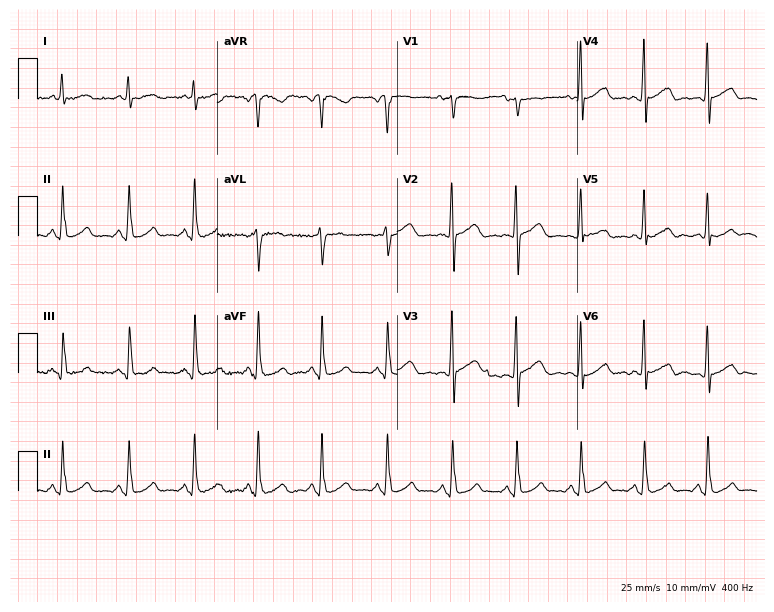
Electrocardiogram (7.3-second recording at 400 Hz), a female patient, 51 years old. Overall reading on record: normal ECG.